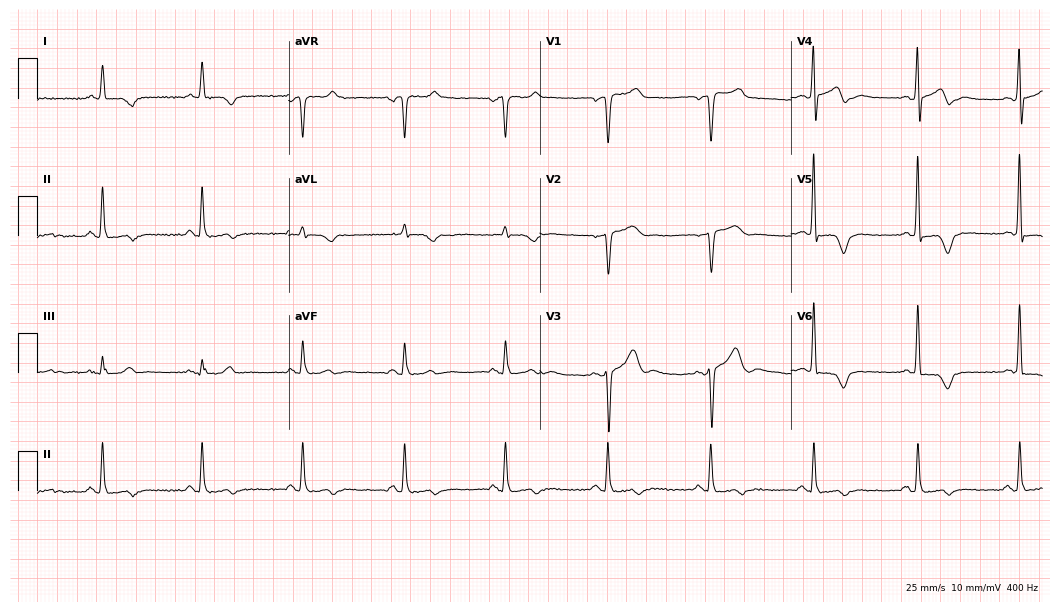
12-lead ECG from a 71-year-old man. No first-degree AV block, right bundle branch block (RBBB), left bundle branch block (LBBB), sinus bradycardia, atrial fibrillation (AF) or sinus tachycardia recorded for this tracing. Findings outside these six are not listed.